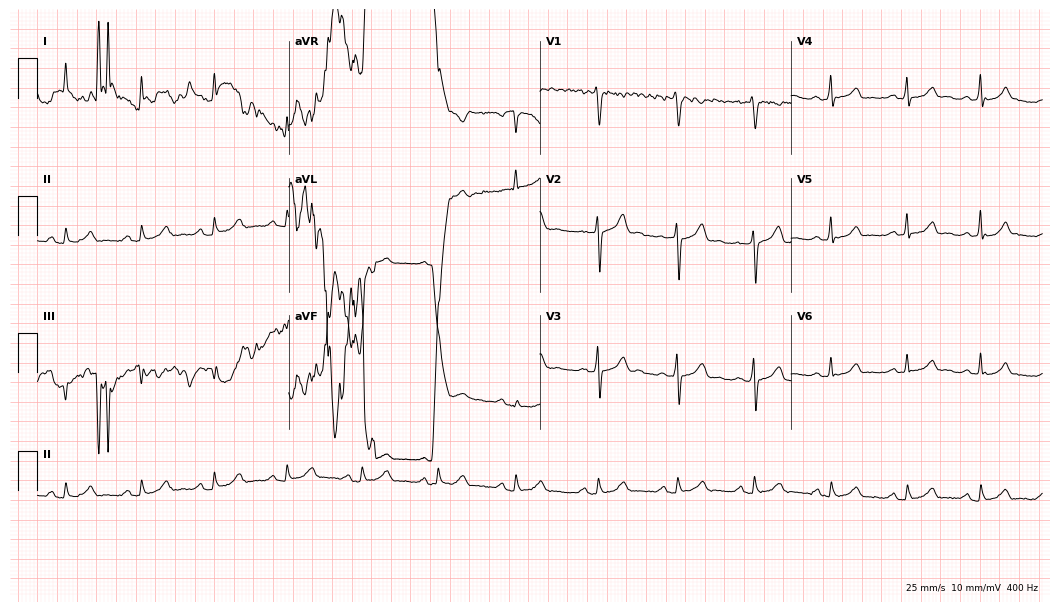
Resting 12-lead electrocardiogram. Patient: a 43-year-old male. None of these six findings is recorded: first-degree AV block, right bundle branch block (RBBB), left bundle branch block (LBBB), sinus bradycardia, atrial fibrillation (AF), sinus tachycardia. Findings outside these six are not listed.